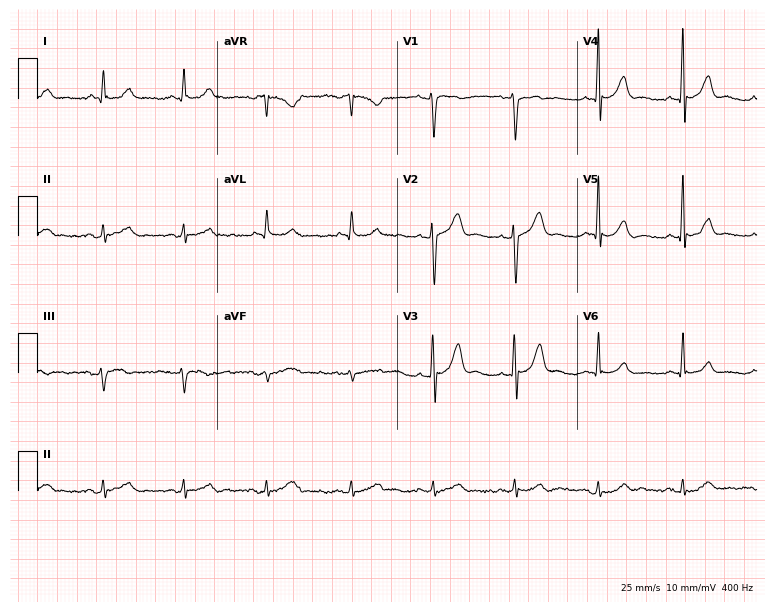
Resting 12-lead electrocardiogram (7.3-second recording at 400 Hz). Patient: a 47-year-old male. None of these six findings is recorded: first-degree AV block, right bundle branch block, left bundle branch block, sinus bradycardia, atrial fibrillation, sinus tachycardia. Only these six findings were labelled.